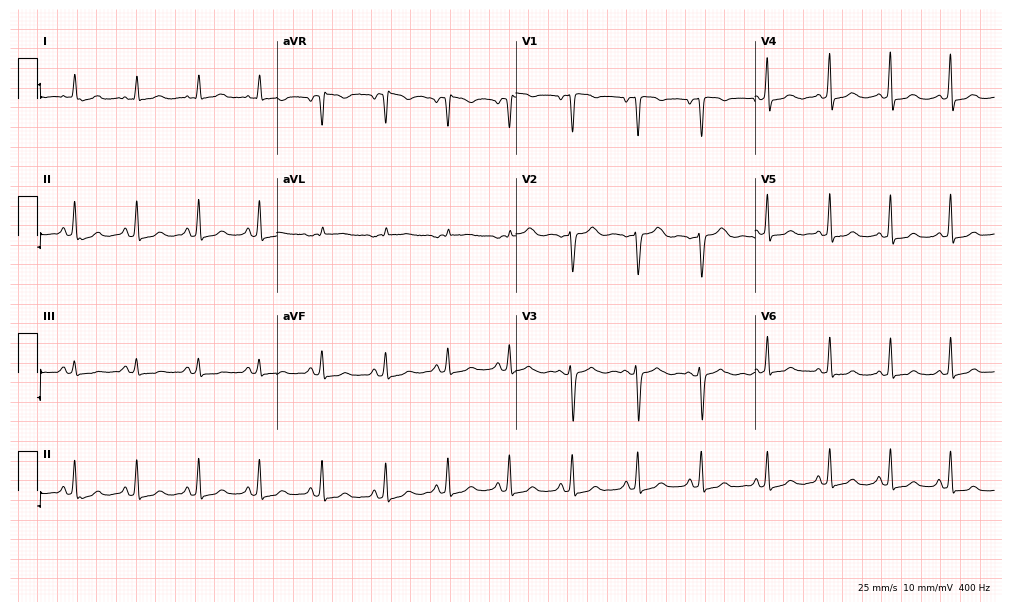
12-lead ECG (9.8-second recording at 400 Hz) from a 43-year-old female patient. Screened for six findings — first-degree AV block, right bundle branch block, left bundle branch block, sinus bradycardia, atrial fibrillation, sinus tachycardia — none is recorded.